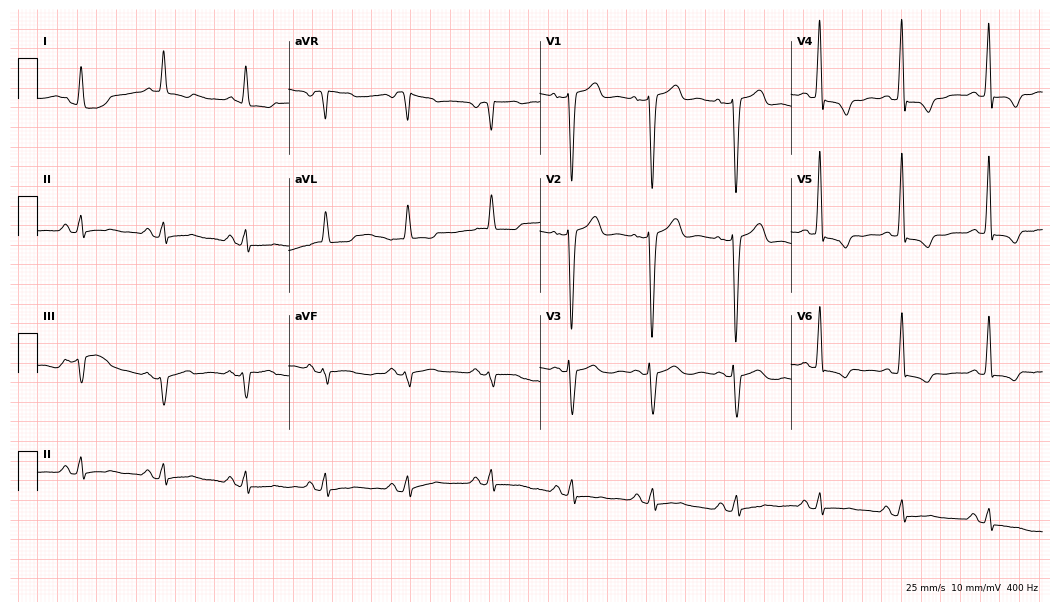
Standard 12-lead ECG recorded from an 83-year-old female patient (10.2-second recording at 400 Hz). None of these six findings is recorded: first-degree AV block, right bundle branch block, left bundle branch block, sinus bradycardia, atrial fibrillation, sinus tachycardia. Findings outside these six are not listed.